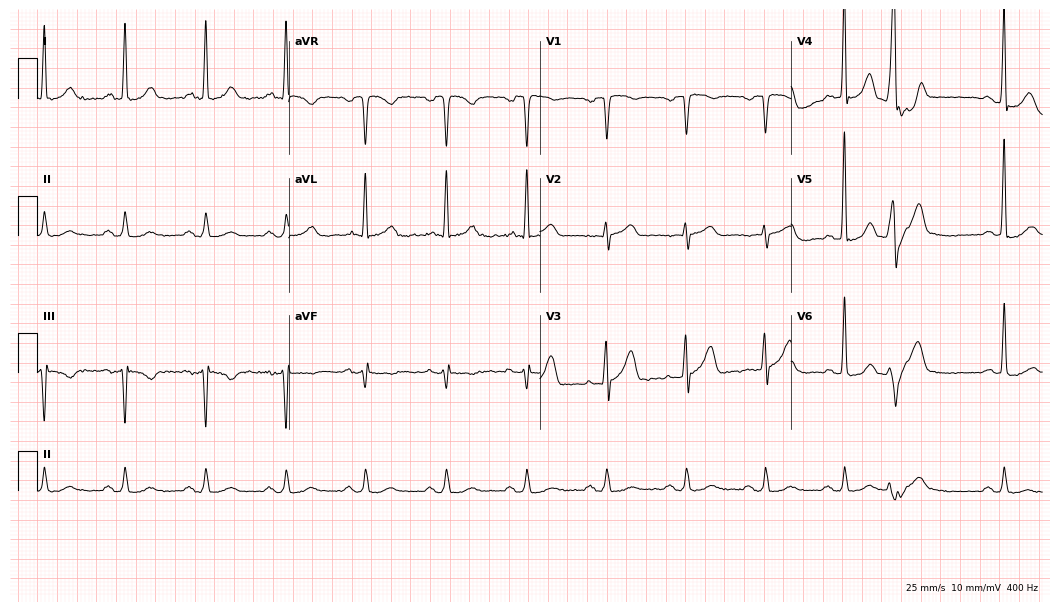
ECG (10.2-second recording at 400 Hz) — a 74-year-old male patient. Screened for six findings — first-degree AV block, right bundle branch block (RBBB), left bundle branch block (LBBB), sinus bradycardia, atrial fibrillation (AF), sinus tachycardia — none is recorded.